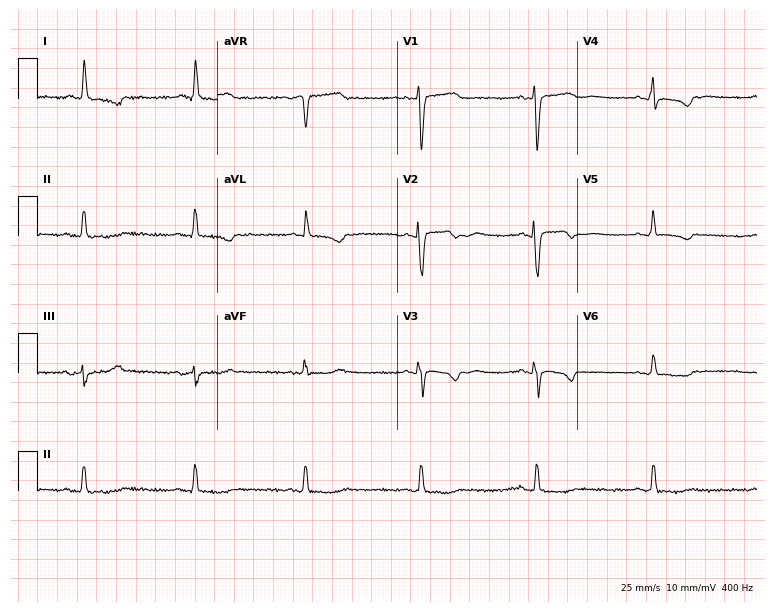
12-lead ECG (7.3-second recording at 400 Hz) from a female, 78 years old. Screened for six findings — first-degree AV block, right bundle branch block, left bundle branch block, sinus bradycardia, atrial fibrillation, sinus tachycardia — none is recorded.